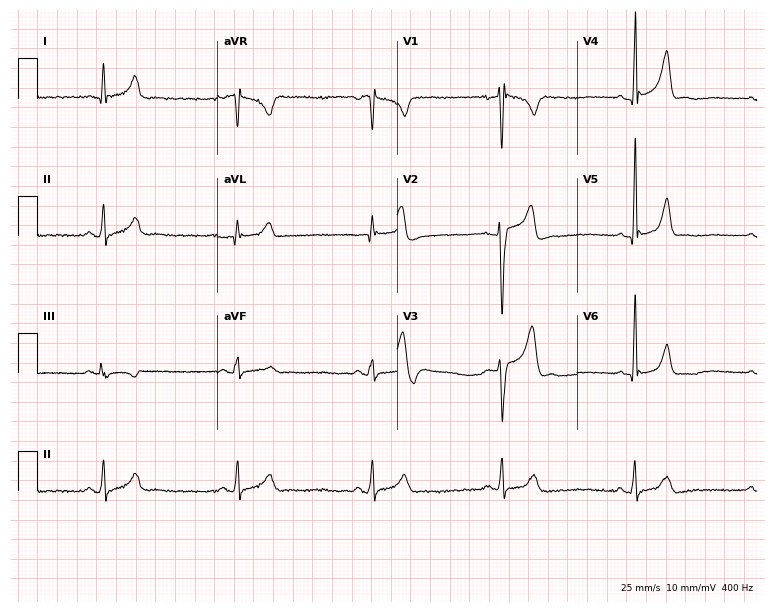
Resting 12-lead electrocardiogram (7.3-second recording at 400 Hz). Patient: a male, 34 years old. The tracing shows sinus bradycardia (a sinus rate of 50 beats per minute or less).